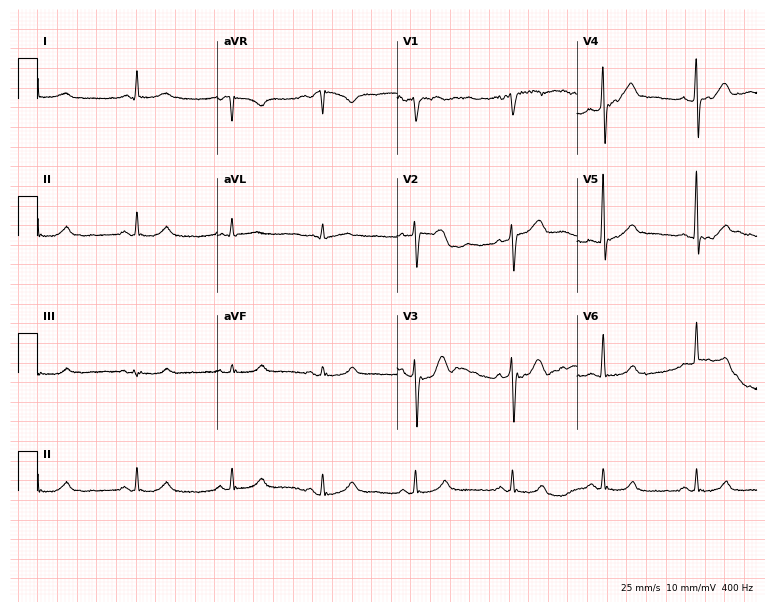
Standard 12-lead ECG recorded from a 35-year-old man (7.3-second recording at 400 Hz). None of these six findings is recorded: first-degree AV block, right bundle branch block (RBBB), left bundle branch block (LBBB), sinus bradycardia, atrial fibrillation (AF), sinus tachycardia.